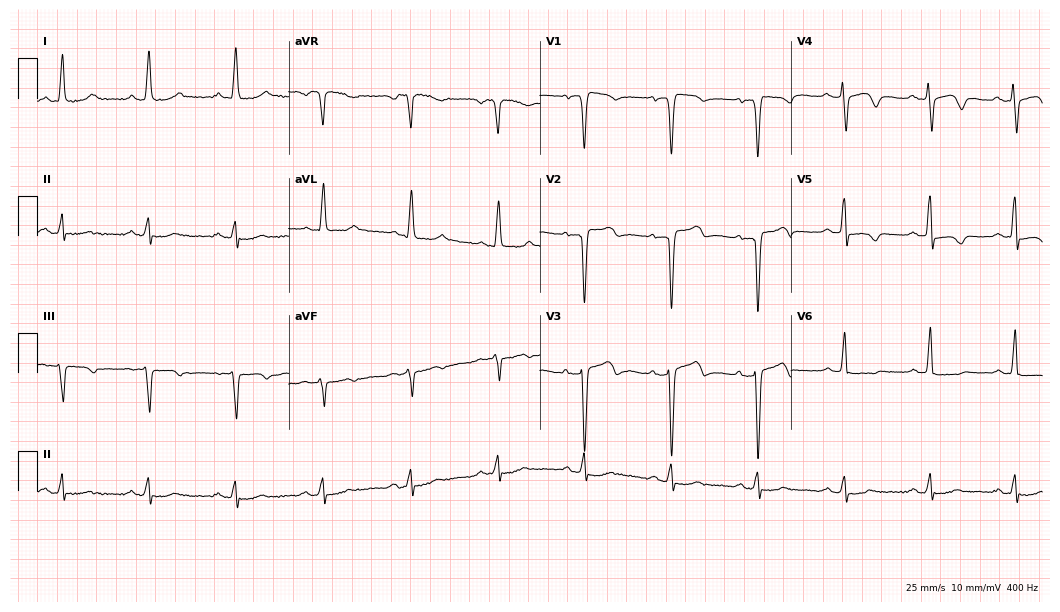
12-lead ECG from a woman, 70 years old. No first-degree AV block, right bundle branch block (RBBB), left bundle branch block (LBBB), sinus bradycardia, atrial fibrillation (AF) or sinus tachycardia recorded for this tracing. Only these six findings were labelled.